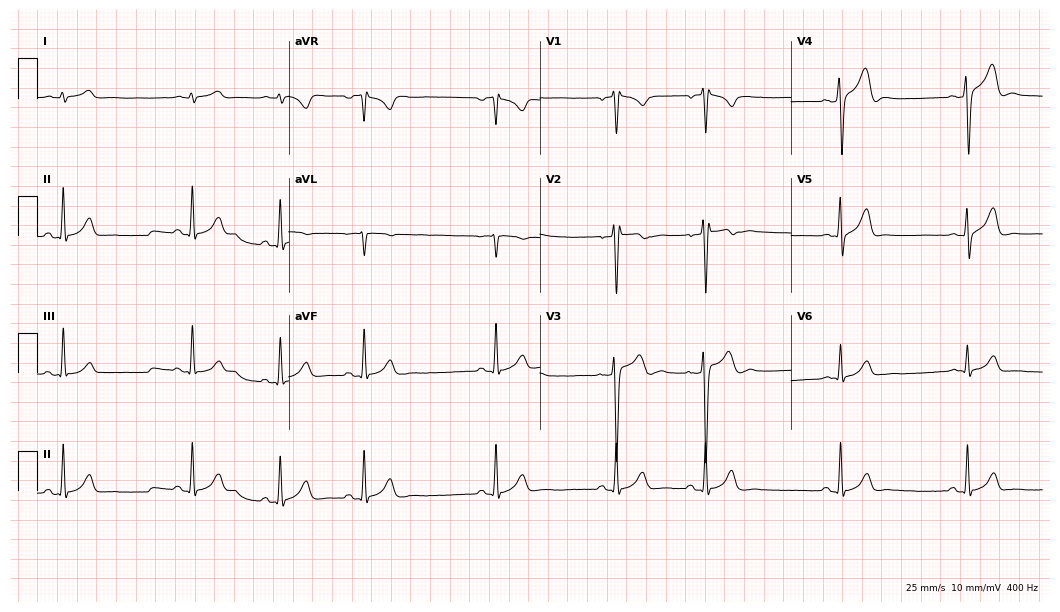
Electrocardiogram (10.2-second recording at 400 Hz), a 20-year-old male. Of the six screened findings (first-degree AV block, right bundle branch block, left bundle branch block, sinus bradycardia, atrial fibrillation, sinus tachycardia), none is recorded. Findings outside these six are not listed.